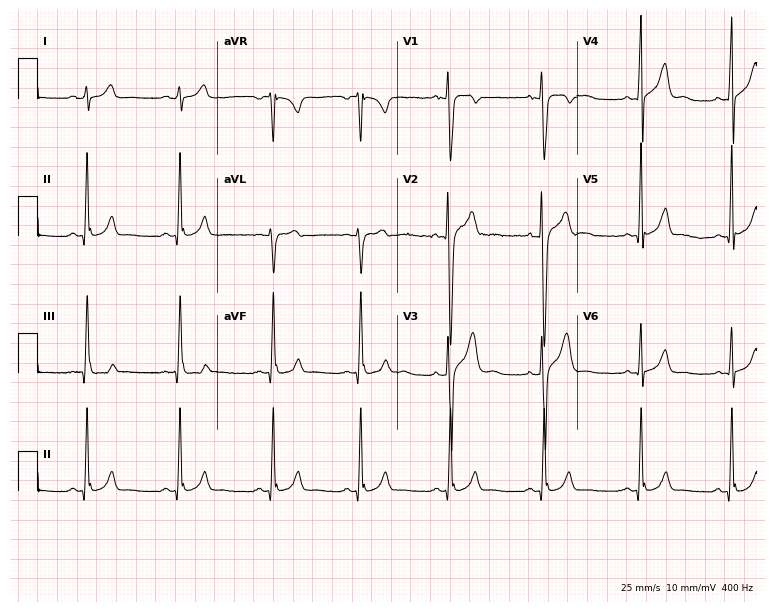
ECG — an 18-year-old male patient. Screened for six findings — first-degree AV block, right bundle branch block, left bundle branch block, sinus bradycardia, atrial fibrillation, sinus tachycardia — none is recorded. Other findings, if any, are not listed.